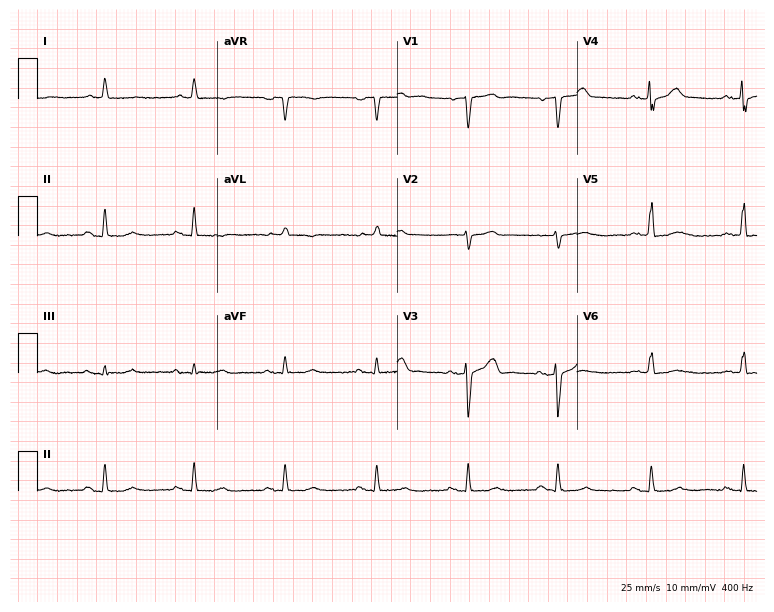
Standard 12-lead ECG recorded from a 71-year-old man. Read as a normal ECG.